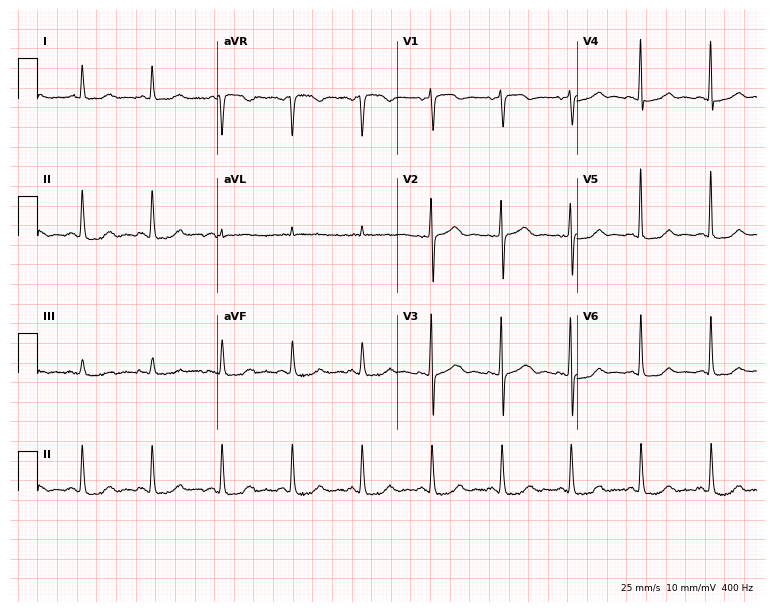
Standard 12-lead ECG recorded from an 85-year-old woman. None of these six findings is recorded: first-degree AV block, right bundle branch block, left bundle branch block, sinus bradycardia, atrial fibrillation, sinus tachycardia. Findings outside these six are not listed.